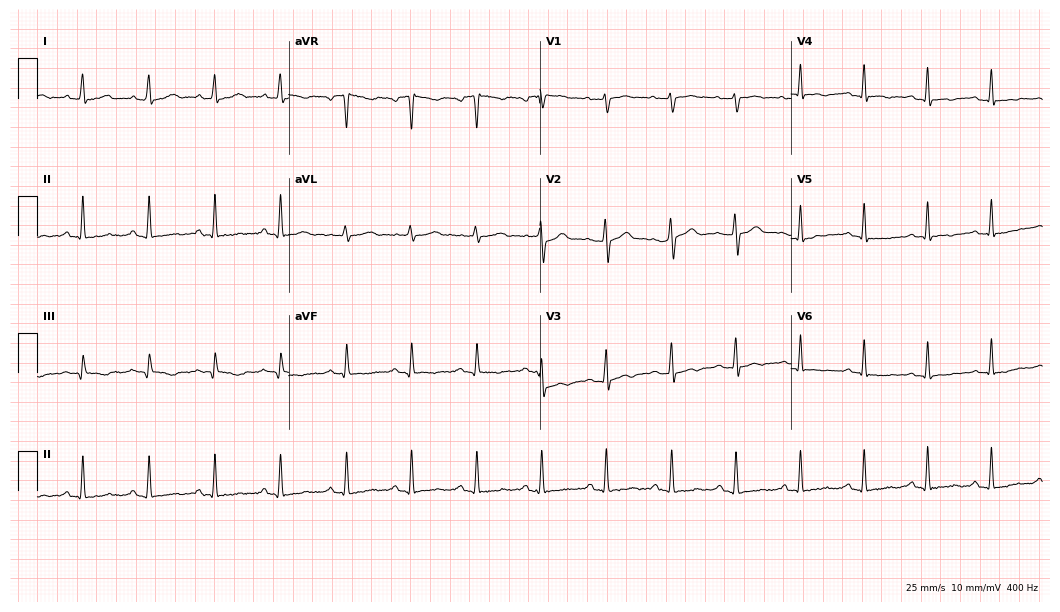
12-lead ECG from a female, 32 years old (10.2-second recording at 400 Hz). No first-degree AV block, right bundle branch block, left bundle branch block, sinus bradycardia, atrial fibrillation or sinus tachycardia recorded for this tracing. Findings outside these six are not listed.